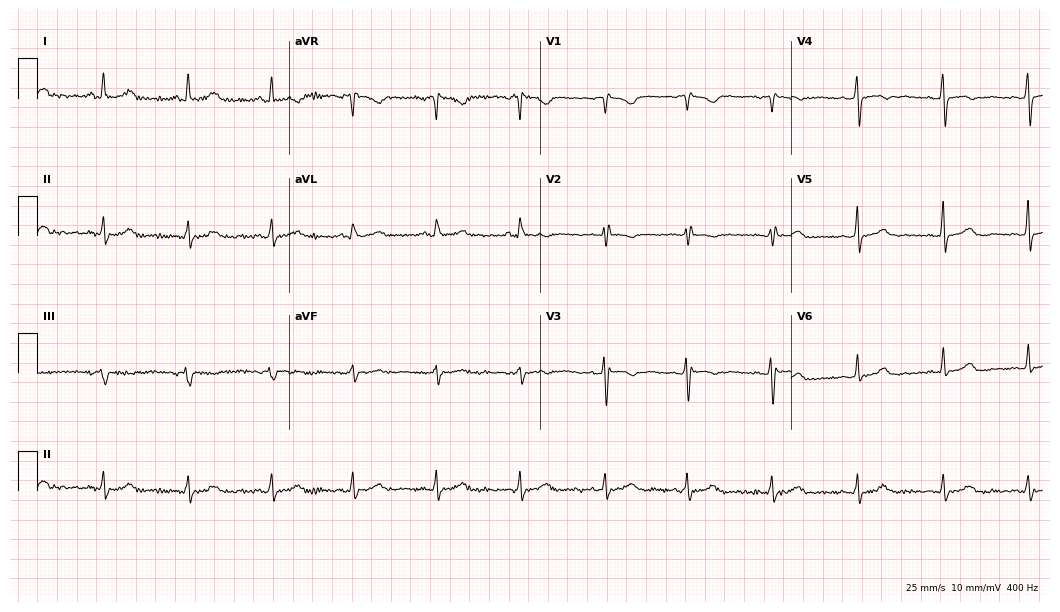
12-lead ECG from a 36-year-old female patient (10.2-second recording at 400 Hz). No first-degree AV block, right bundle branch block, left bundle branch block, sinus bradycardia, atrial fibrillation or sinus tachycardia recorded for this tracing. Other findings, if any, are not listed.